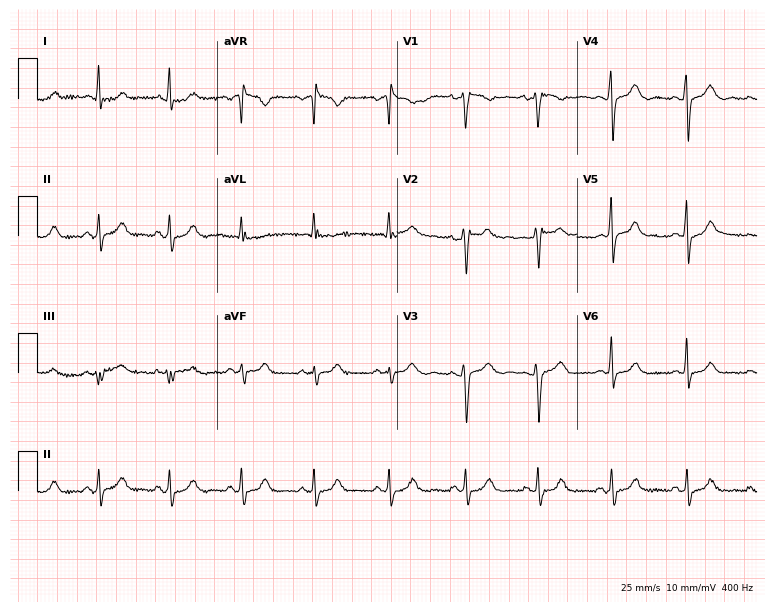
12-lead ECG (7.3-second recording at 400 Hz) from a 63-year-old female. Screened for six findings — first-degree AV block, right bundle branch block, left bundle branch block, sinus bradycardia, atrial fibrillation, sinus tachycardia — none is recorded.